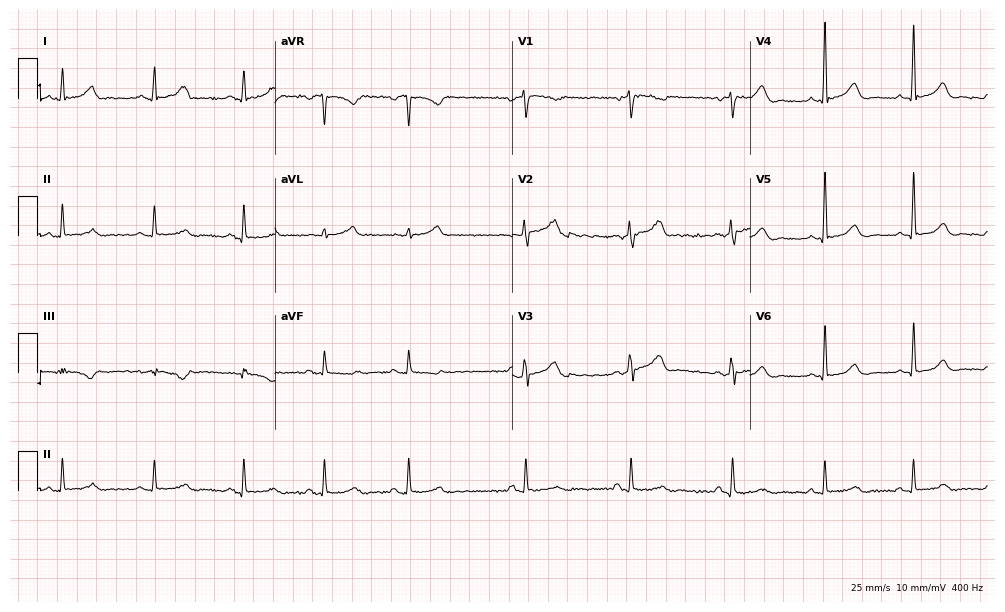
Standard 12-lead ECG recorded from a woman, 67 years old (9.7-second recording at 400 Hz). Read as a normal ECG.